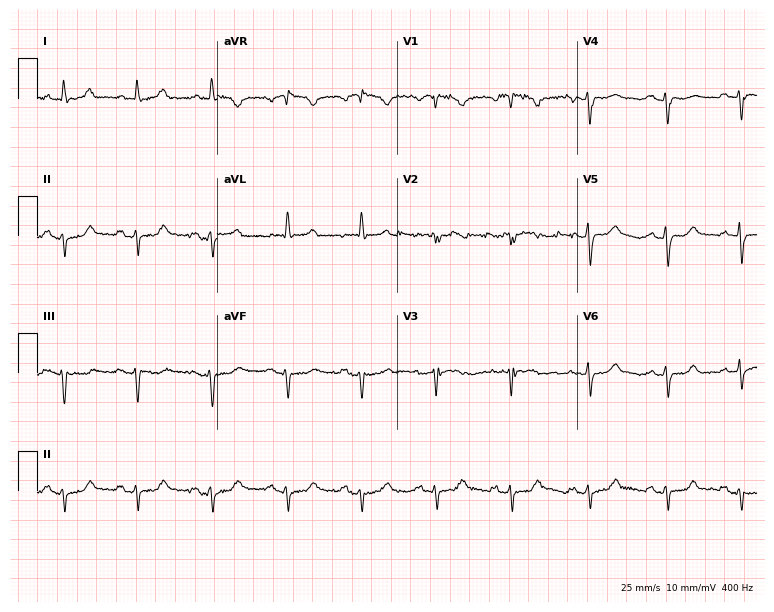
12-lead ECG (7.3-second recording at 400 Hz) from a woman, 74 years old. Screened for six findings — first-degree AV block, right bundle branch block (RBBB), left bundle branch block (LBBB), sinus bradycardia, atrial fibrillation (AF), sinus tachycardia — none is recorded.